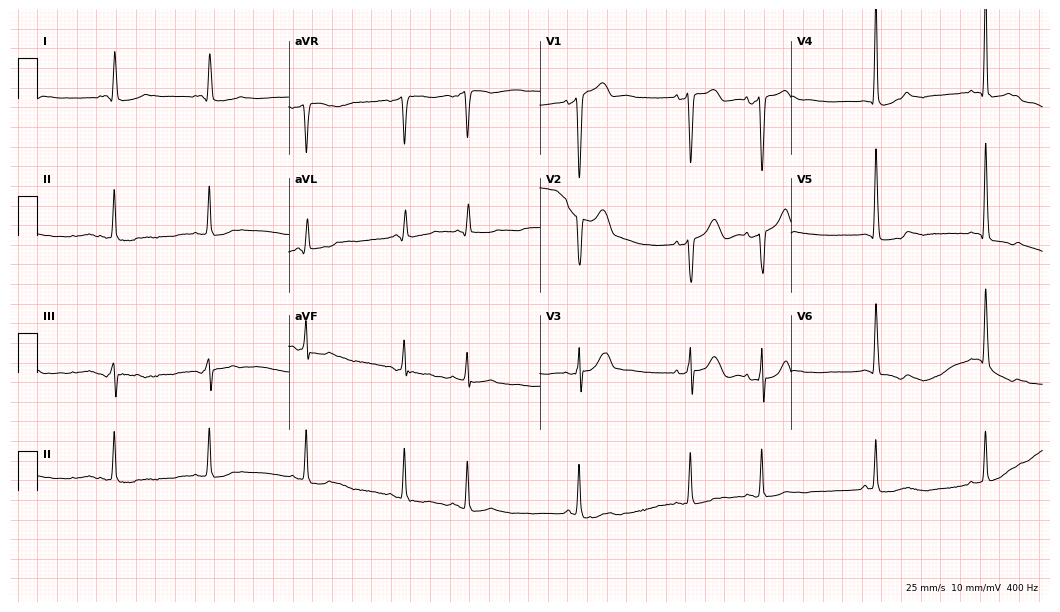
12-lead ECG from a 76-year-old woman. Screened for six findings — first-degree AV block, right bundle branch block (RBBB), left bundle branch block (LBBB), sinus bradycardia, atrial fibrillation (AF), sinus tachycardia — none is recorded.